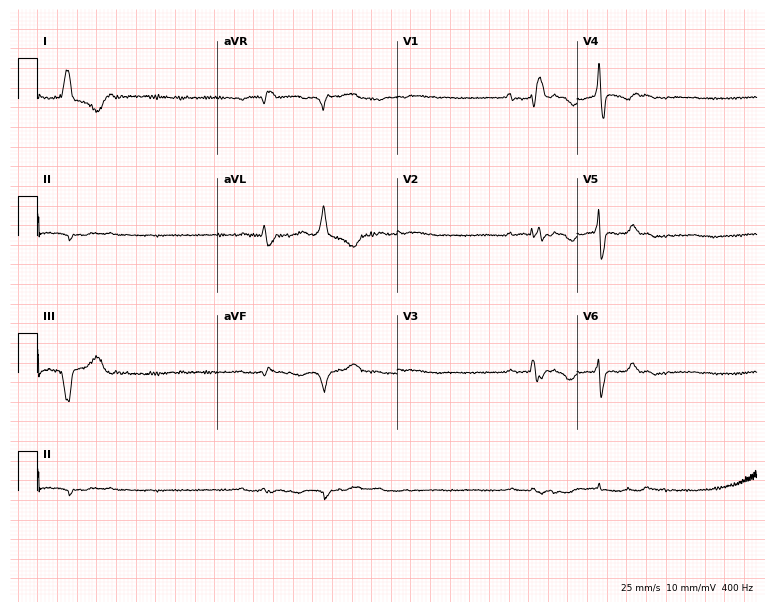
Resting 12-lead electrocardiogram. Patient: a 52-year-old female. The tracing shows first-degree AV block, right bundle branch block.